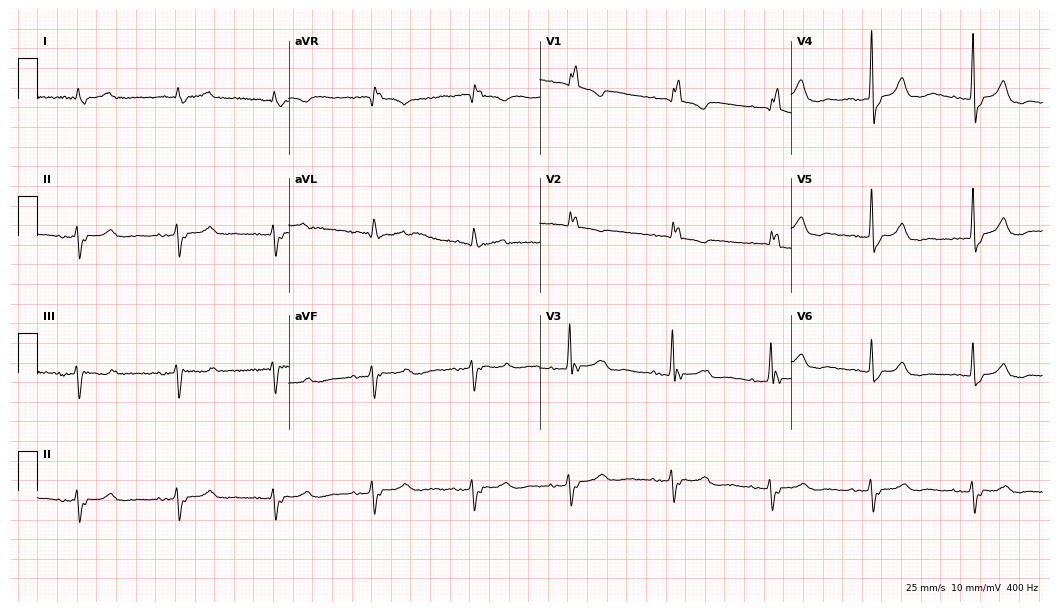
ECG (10.2-second recording at 400 Hz) — a 71-year-old male. Screened for six findings — first-degree AV block, right bundle branch block, left bundle branch block, sinus bradycardia, atrial fibrillation, sinus tachycardia — none is recorded. Only these six findings were labelled.